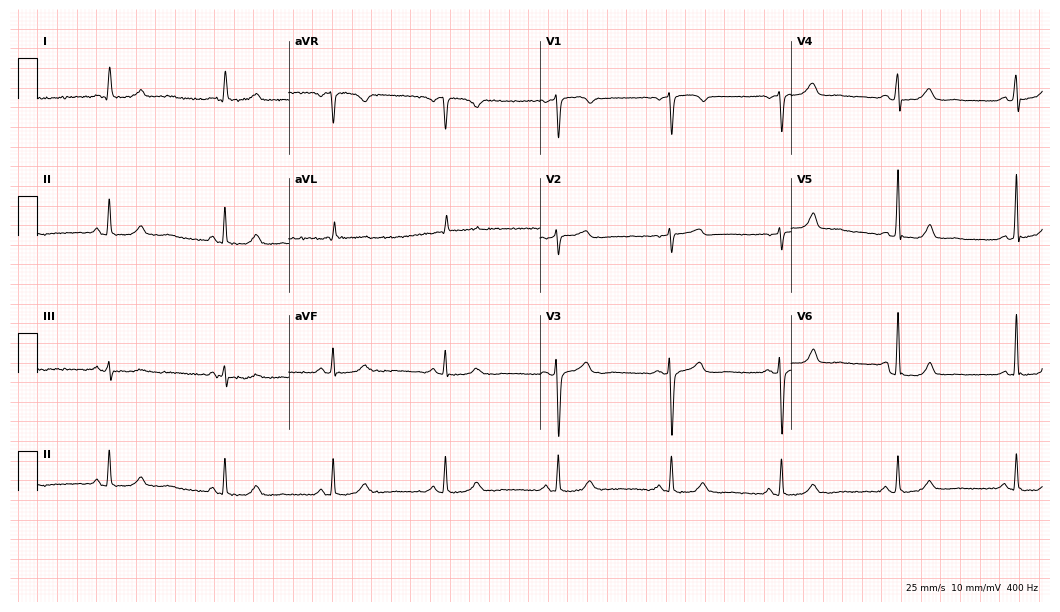
Standard 12-lead ECG recorded from a female, 51 years old. Read as a normal ECG.